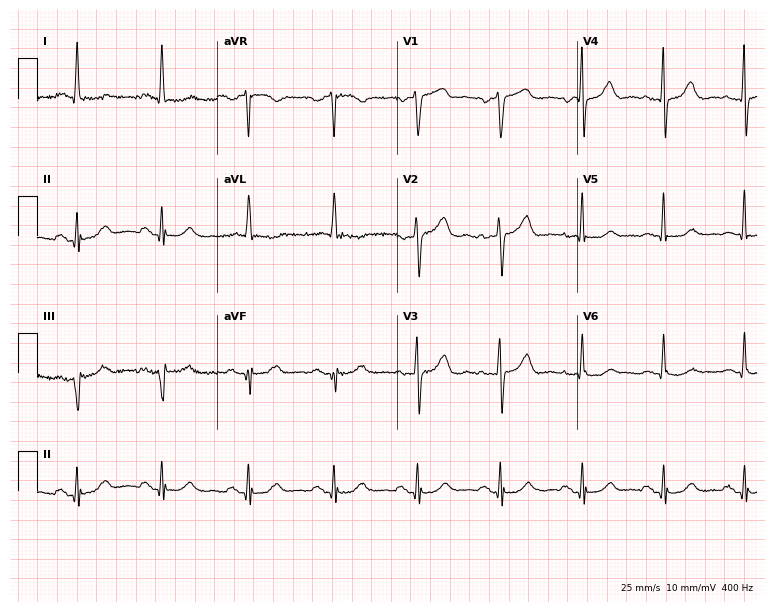
Electrocardiogram (7.3-second recording at 400 Hz), a female, 59 years old. Overall reading on record: normal ECG.